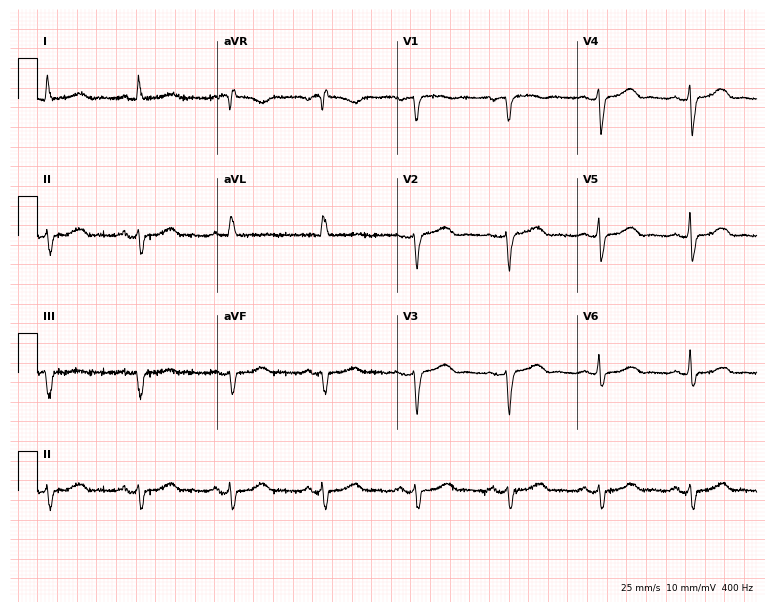
12-lead ECG from a female, 77 years old. Screened for six findings — first-degree AV block, right bundle branch block, left bundle branch block, sinus bradycardia, atrial fibrillation, sinus tachycardia — none is recorded. Findings outside these six are not listed.